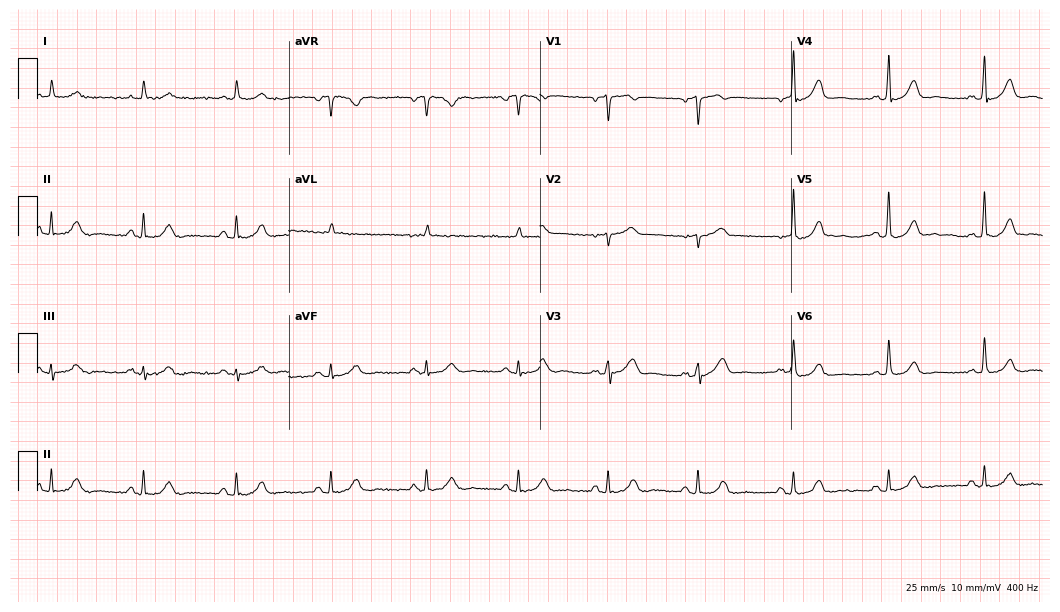
Standard 12-lead ECG recorded from a male patient, 71 years old (10.2-second recording at 400 Hz). None of these six findings is recorded: first-degree AV block, right bundle branch block, left bundle branch block, sinus bradycardia, atrial fibrillation, sinus tachycardia. Only these six findings were labelled.